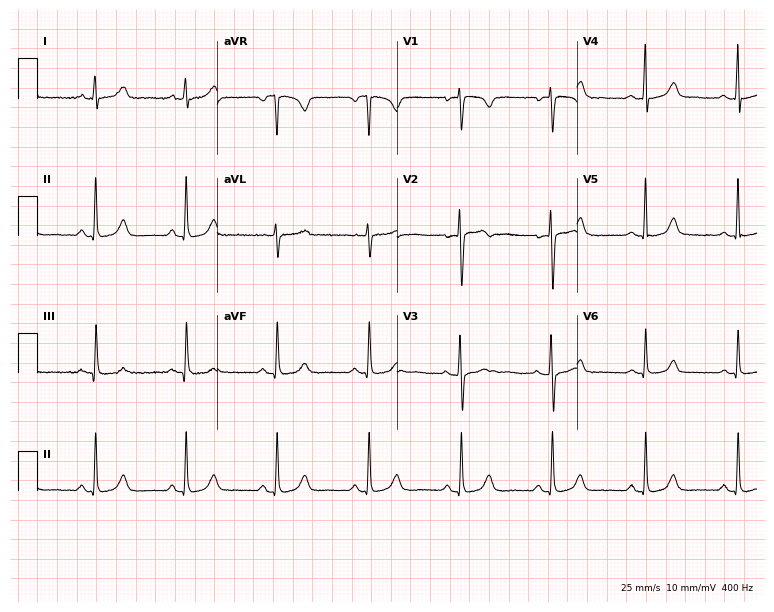
ECG — a 36-year-old woman. Labelled as a normal ECG.